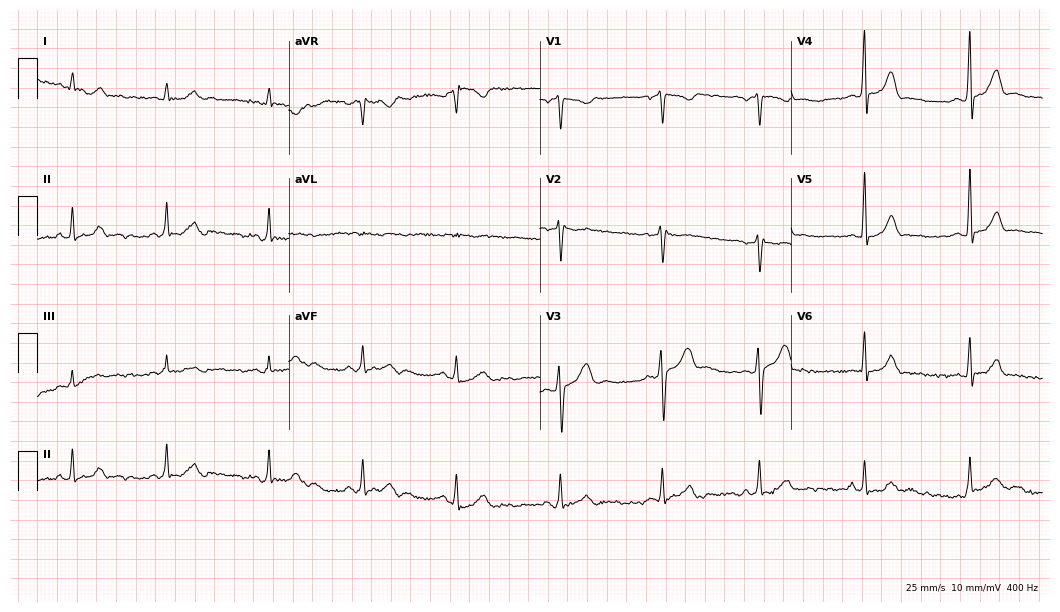
12-lead ECG from a man, 39 years old. Recorded interpretation: within normal limits.